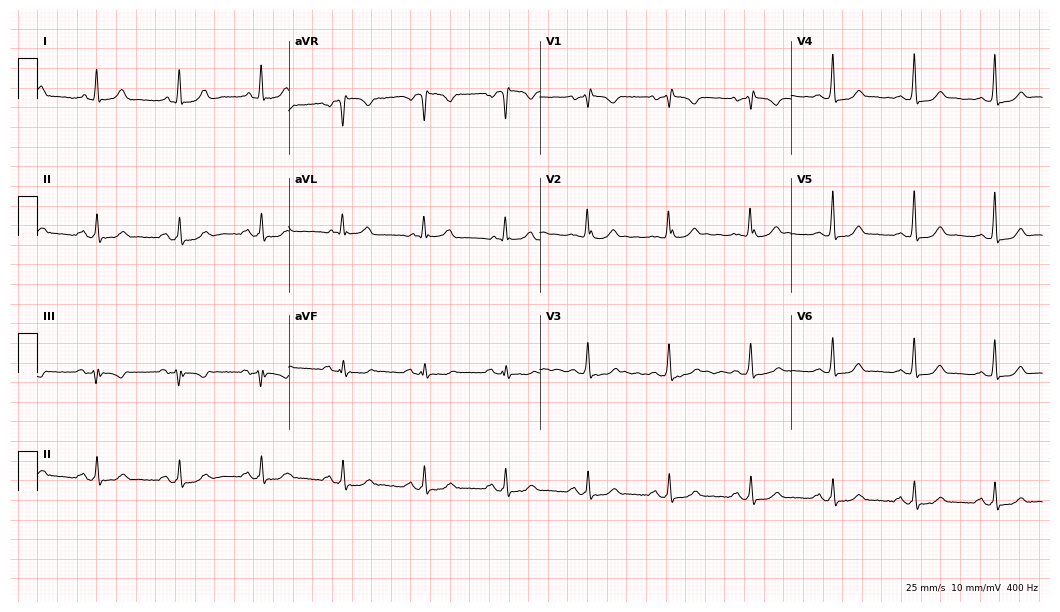
12-lead ECG (10.2-second recording at 400 Hz) from a female patient, 77 years old. Screened for six findings — first-degree AV block, right bundle branch block (RBBB), left bundle branch block (LBBB), sinus bradycardia, atrial fibrillation (AF), sinus tachycardia — none is recorded.